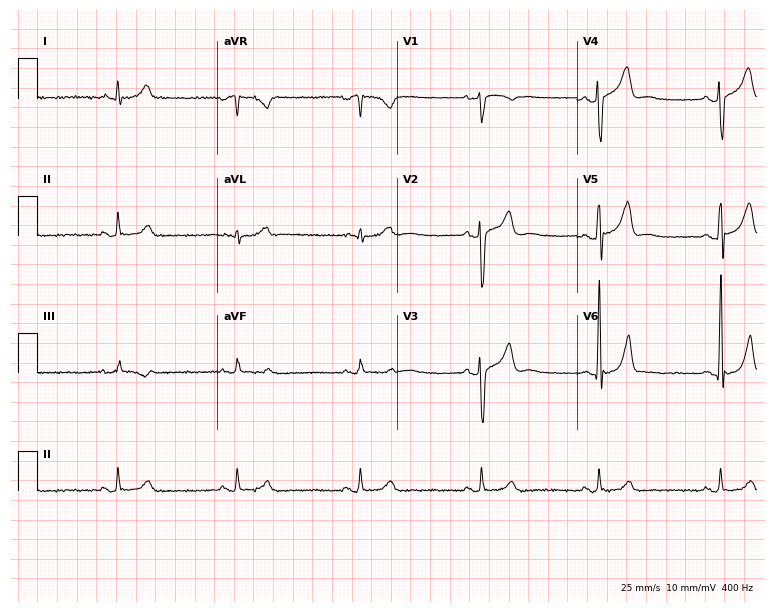
12-lead ECG (7.3-second recording at 400 Hz) from a man, 44 years old. Findings include sinus bradycardia (a sinus rate of 50 beats per minute or less).